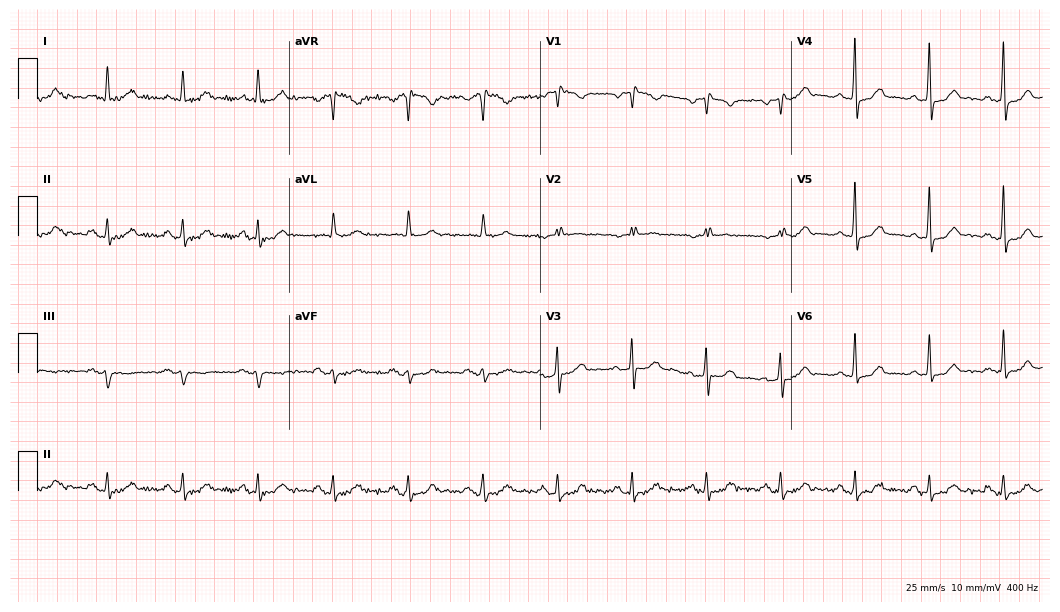
ECG — a 73-year-old male patient. Labelled as a normal ECG.